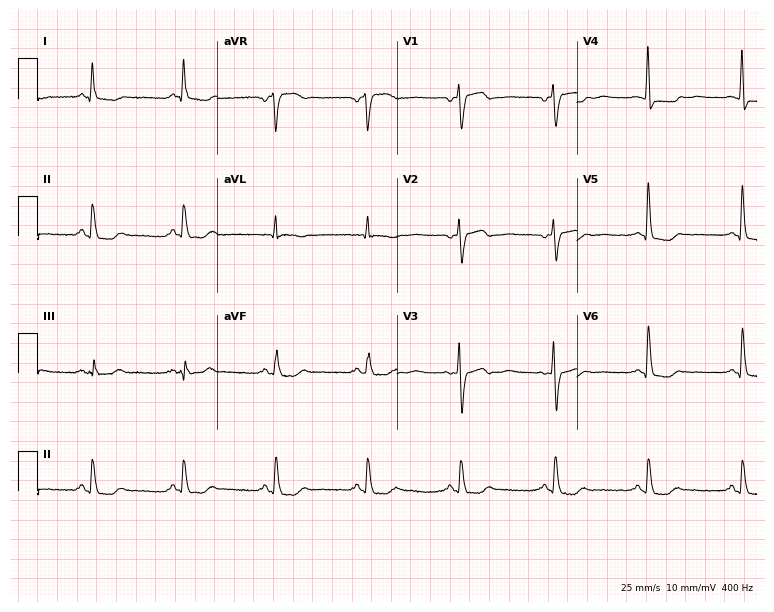
Standard 12-lead ECG recorded from a female, 53 years old. None of these six findings is recorded: first-degree AV block, right bundle branch block (RBBB), left bundle branch block (LBBB), sinus bradycardia, atrial fibrillation (AF), sinus tachycardia. Other findings, if any, are not listed.